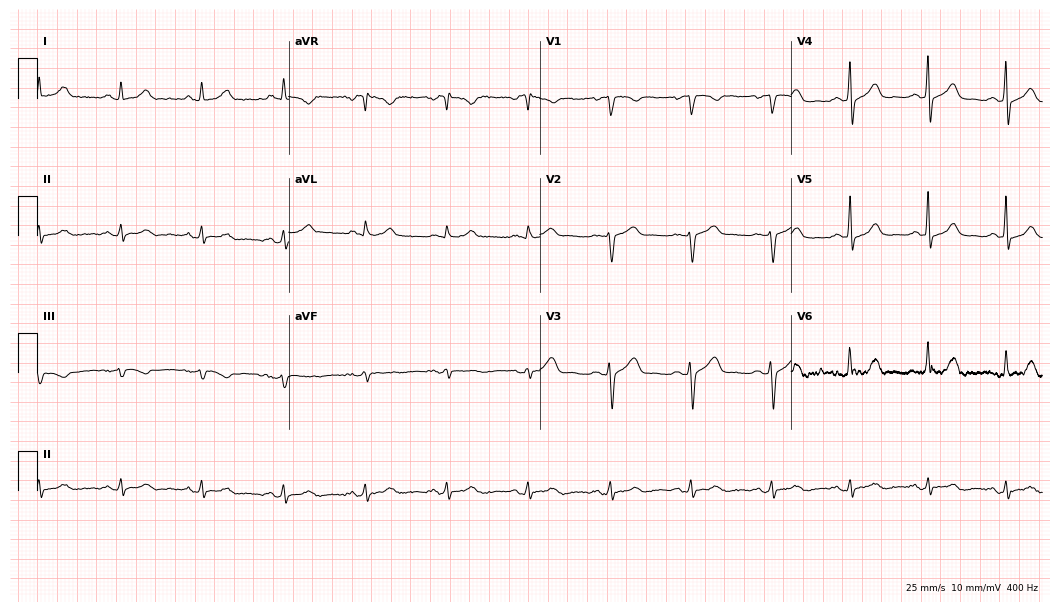
12-lead ECG from a 51-year-old man (10.2-second recording at 400 Hz). No first-degree AV block, right bundle branch block, left bundle branch block, sinus bradycardia, atrial fibrillation or sinus tachycardia recorded for this tracing.